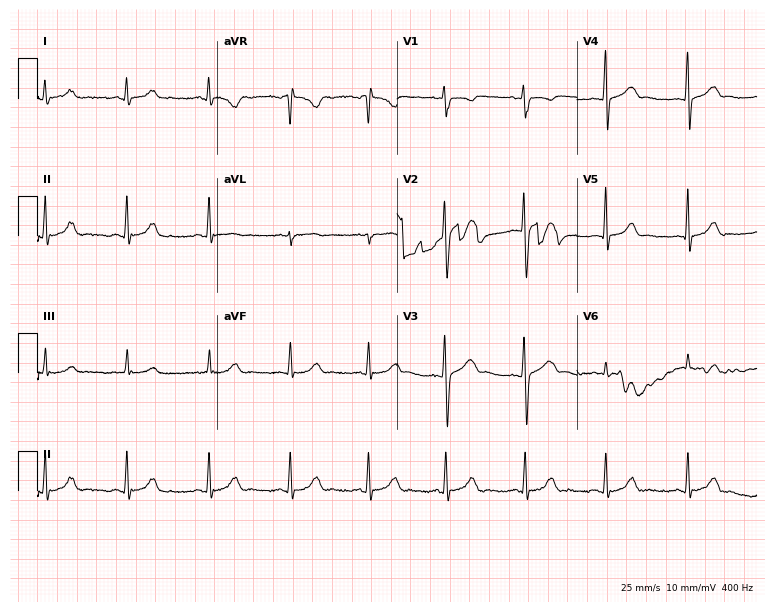
Electrocardiogram (7.3-second recording at 400 Hz), a female patient, 23 years old. Overall reading on record: normal ECG.